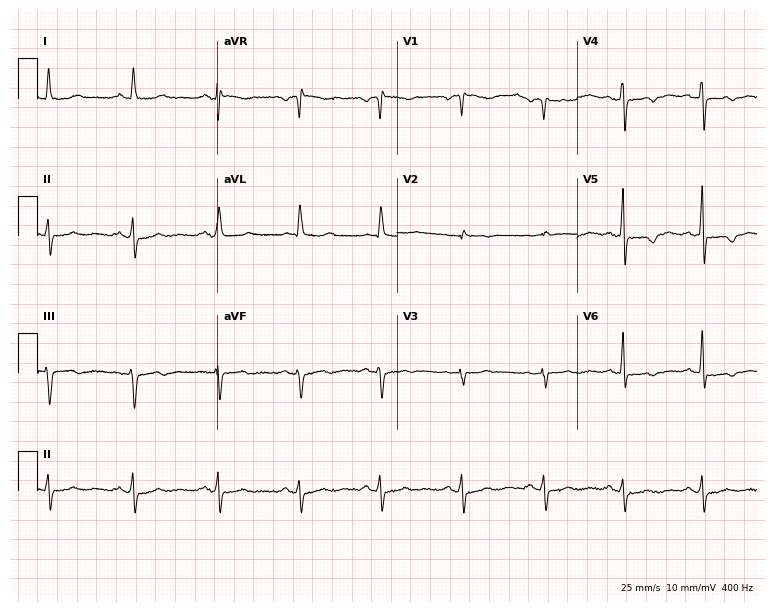
ECG — a 62-year-old female. Screened for six findings — first-degree AV block, right bundle branch block, left bundle branch block, sinus bradycardia, atrial fibrillation, sinus tachycardia — none is recorded. Findings outside these six are not listed.